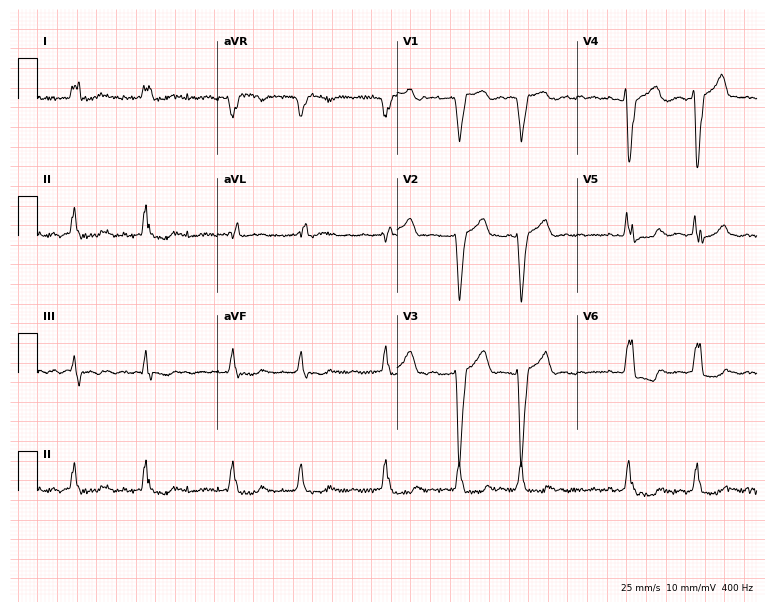
12-lead ECG from a 64-year-old female (7.3-second recording at 400 Hz). Shows left bundle branch block (LBBB), atrial fibrillation (AF).